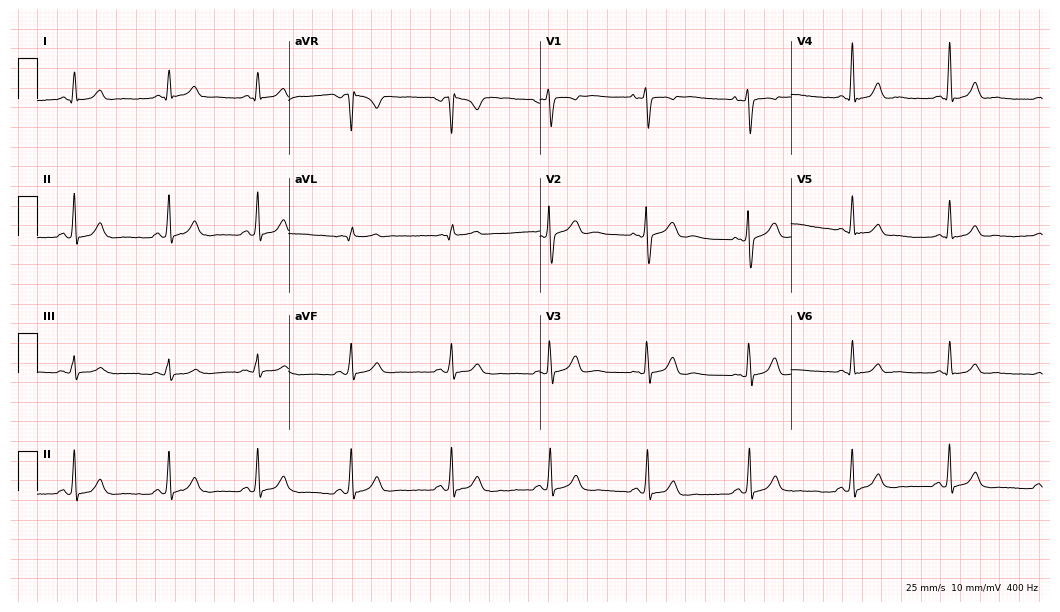
Electrocardiogram (10.2-second recording at 400 Hz), a female, 36 years old. Overall reading on record: normal ECG.